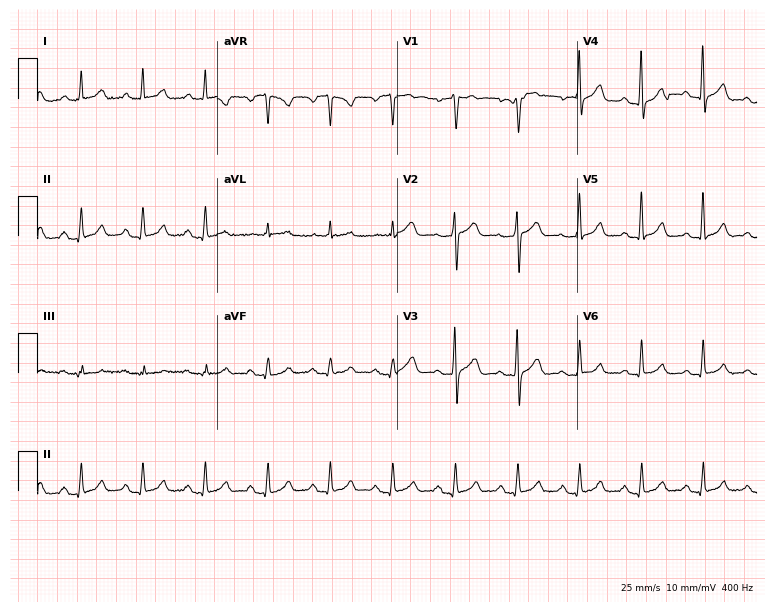
12-lead ECG (7.3-second recording at 400 Hz) from a 70-year-old male patient. Labelled as a normal ECG.